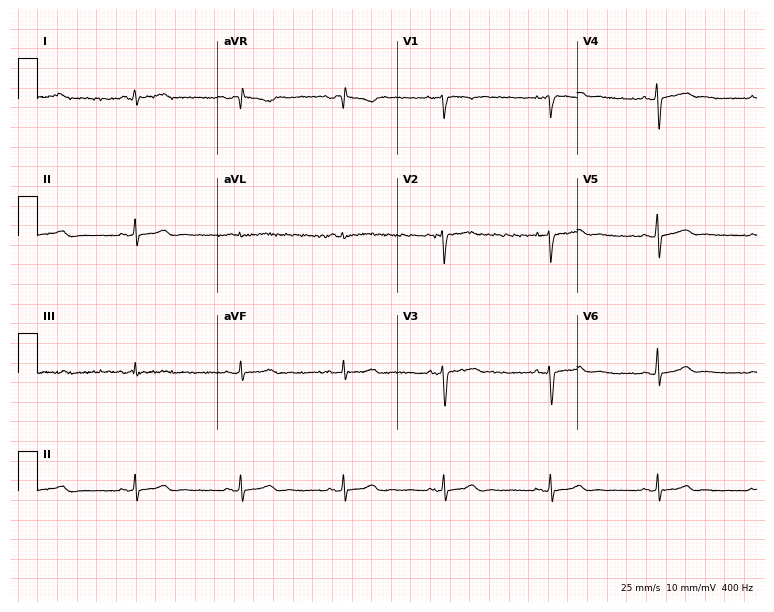
12-lead ECG from a female, 28 years old. Labelled as a normal ECG.